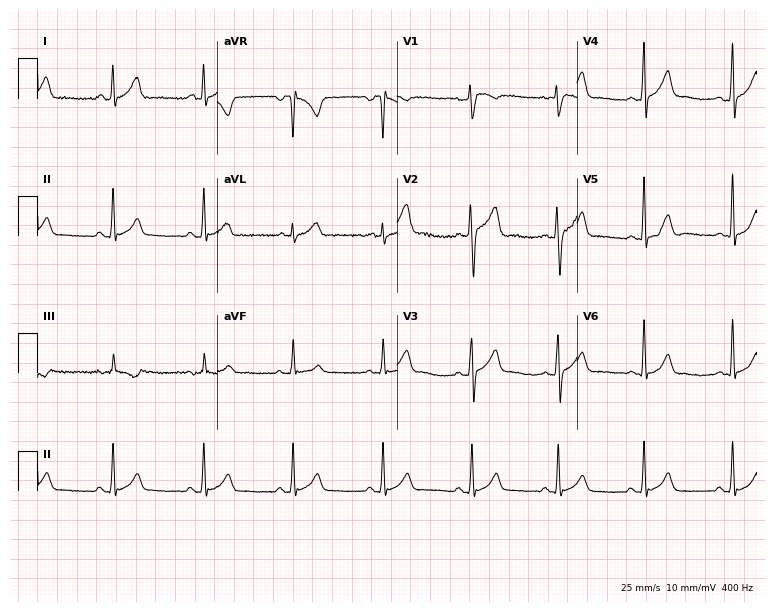
Electrocardiogram, a male patient, 22 years old. Overall reading on record: normal ECG.